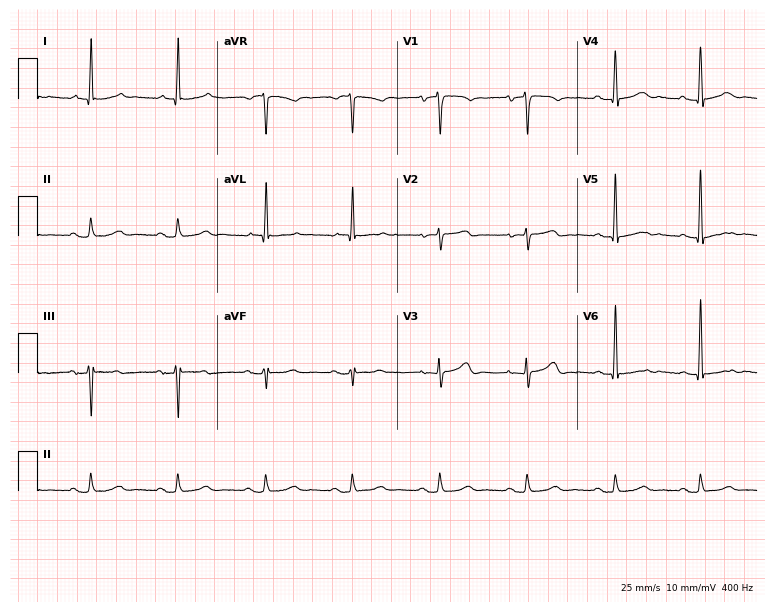
Electrocardiogram, an 80-year-old woman. Of the six screened findings (first-degree AV block, right bundle branch block, left bundle branch block, sinus bradycardia, atrial fibrillation, sinus tachycardia), none is recorded. Only these six findings were labelled.